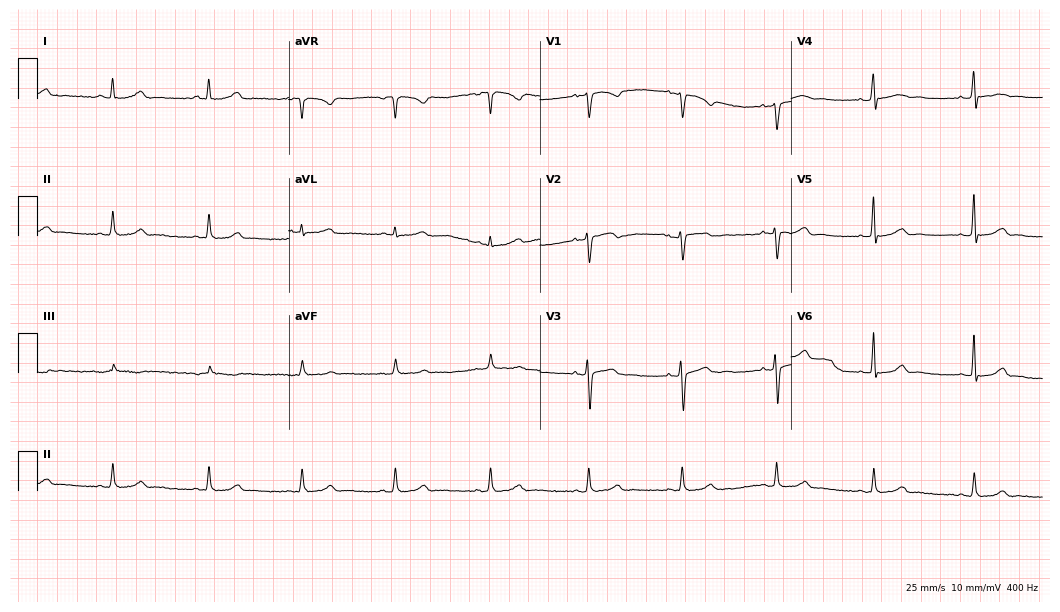
Standard 12-lead ECG recorded from a female patient, 32 years old. Read as a normal ECG.